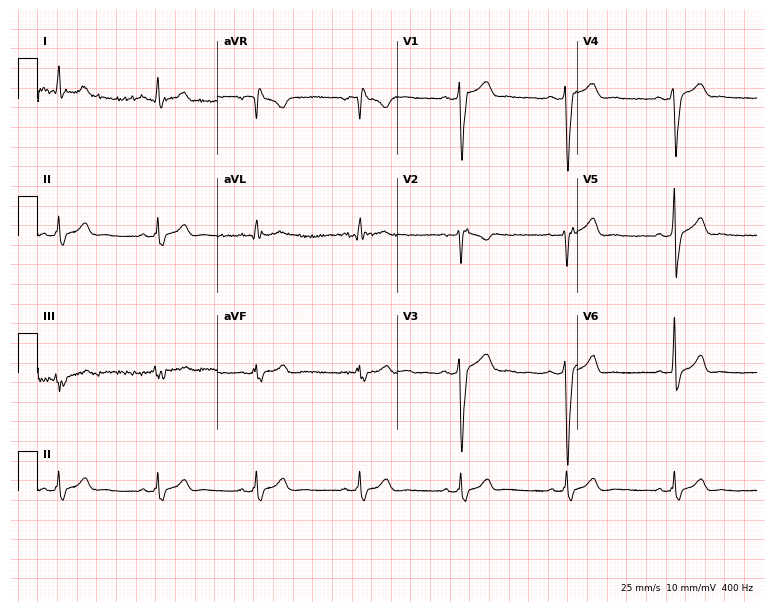
Standard 12-lead ECG recorded from a male patient, 31 years old (7.3-second recording at 400 Hz). None of these six findings is recorded: first-degree AV block, right bundle branch block, left bundle branch block, sinus bradycardia, atrial fibrillation, sinus tachycardia. Other findings, if any, are not listed.